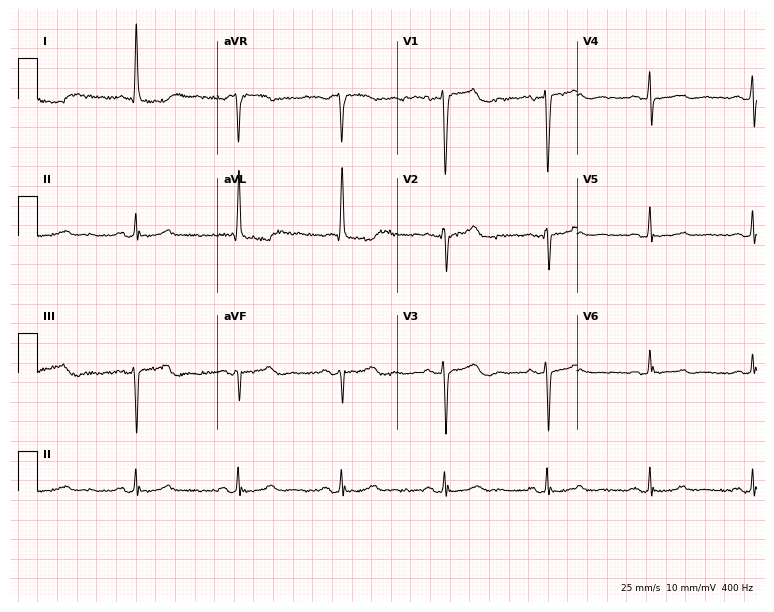
12-lead ECG from a female, 71 years old. Screened for six findings — first-degree AV block, right bundle branch block, left bundle branch block, sinus bradycardia, atrial fibrillation, sinus tachycardia — none is recorded.